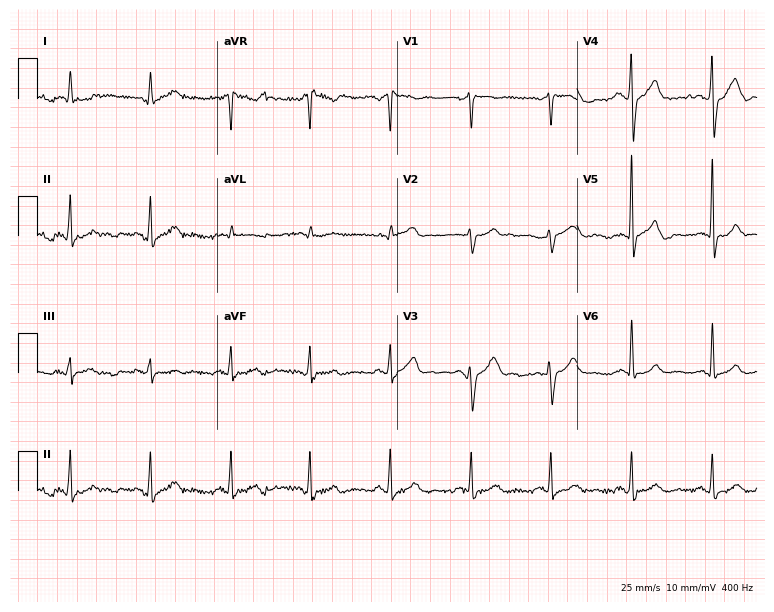
Electrocardiogram, a male, 69 years old. Overall reading on record: normal ECG.